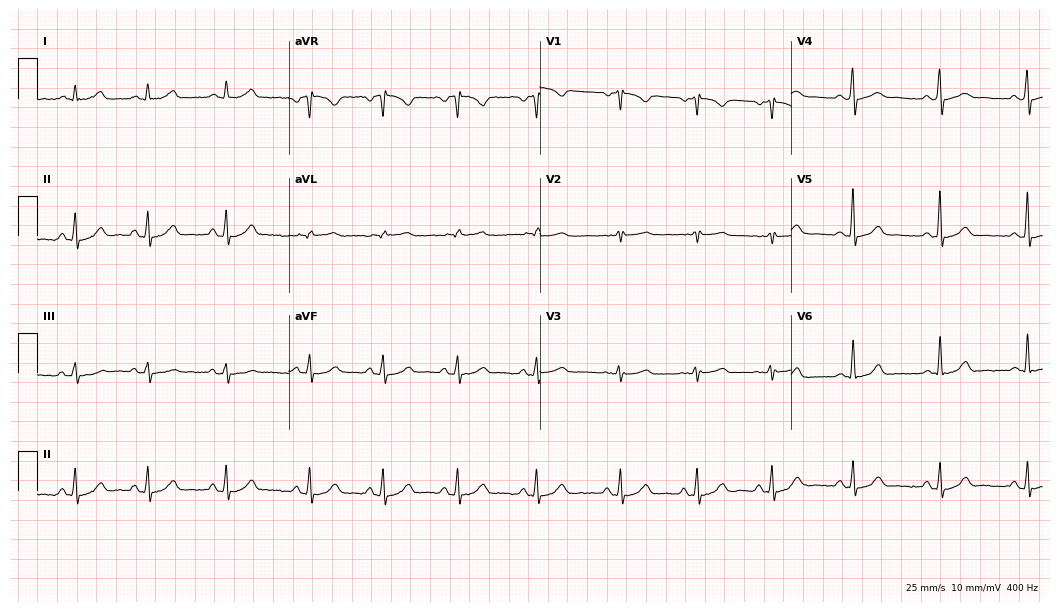
Standard 12-lead ECG recorded from a female, 48 years old (10.2-second recording at 400 Hz). None of these six findings is recorded: first-degree AV block, right bundle branch block, left bundle branch block, sinus bradycardia, atrial fibrillation, sinus tachycardia. Only these six findings were labelled.